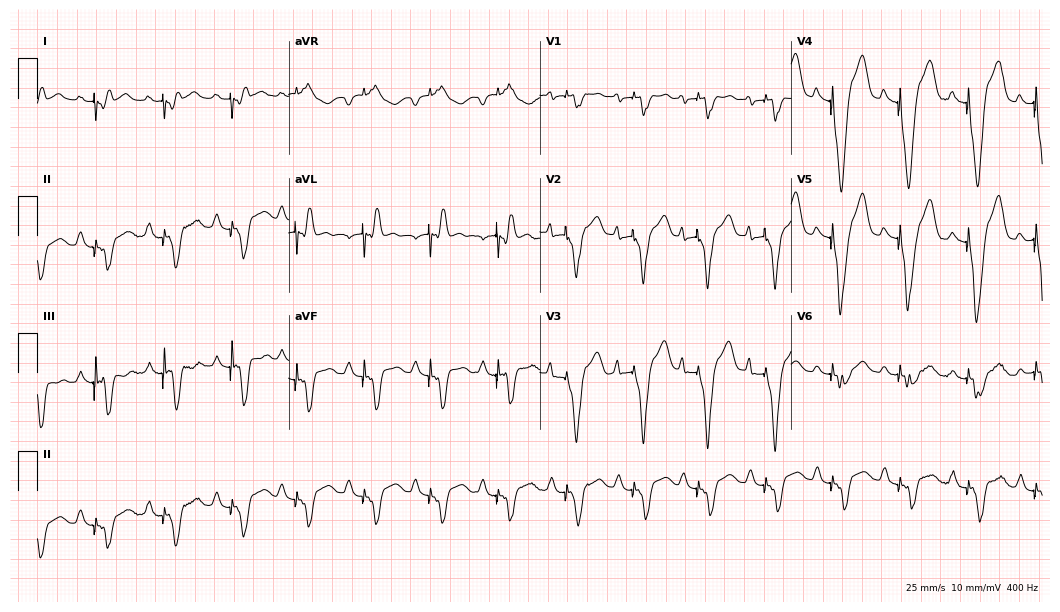
12-lead ECG (10.2-second recording at 400 Hz) from a female patient, 60 years old. Screened for six findings — first-degree AV block, right bundle branch block (RBBB), left bundle branch block (LBBB), sinus bradycardia, atrial fibrillation (AF), sinus tachycardia — none is recorded. Only these six findings were labelled.